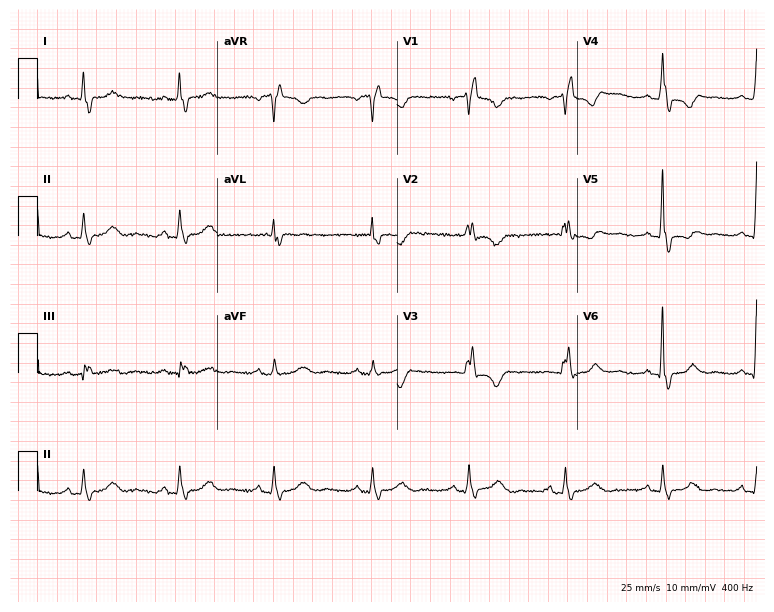
Standard 12-lead ECG recorded from a 75-year-old woman (7.3-second recording at 400 Hz). None of these six findings is recorded: first-degree AV block, right bundle branch block, left bundle branch block, sinus bradycardia, atrial fibrillation, sinus tachycardia. Other findings, if any, are not listed.